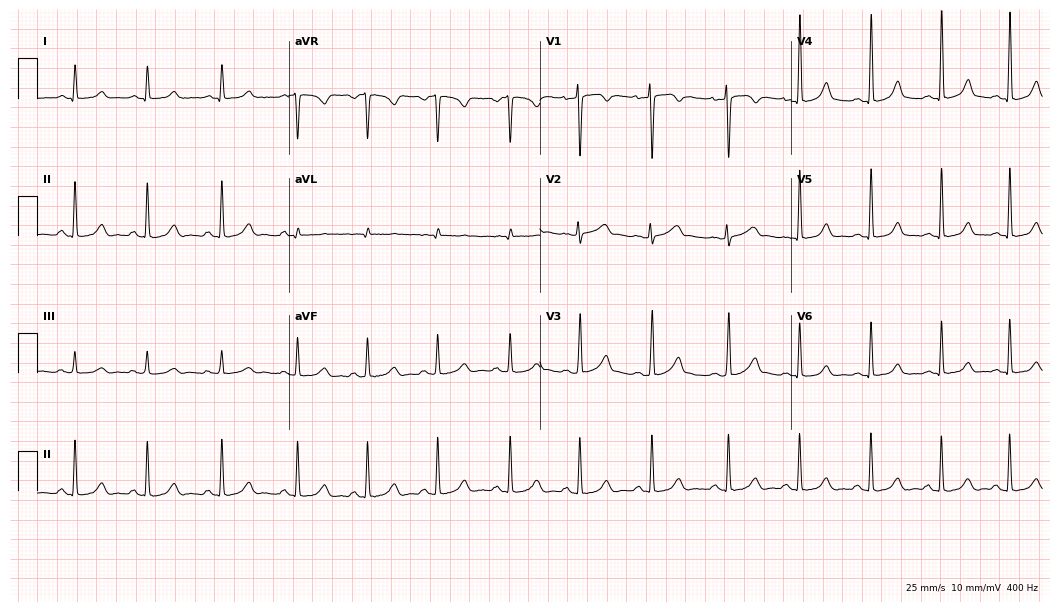
12-lead ECG from a female patient, 33 years old. Recorded interpretation: within normal limits.